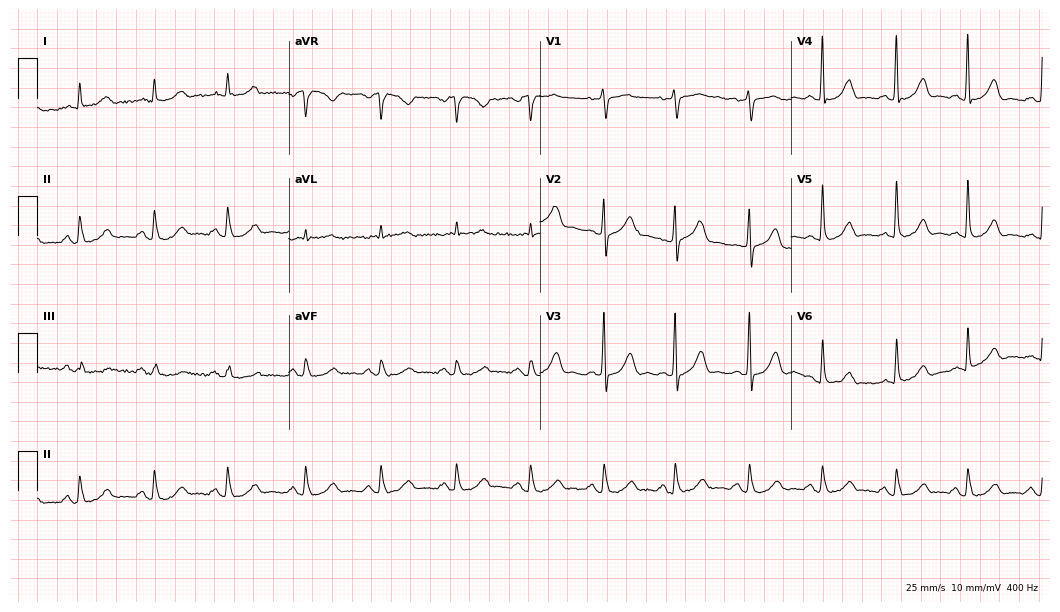
12-lead ECG from a man, 75 years old (10.2-second recording at 400 Hz). Recorded interpretation: within normal limits.